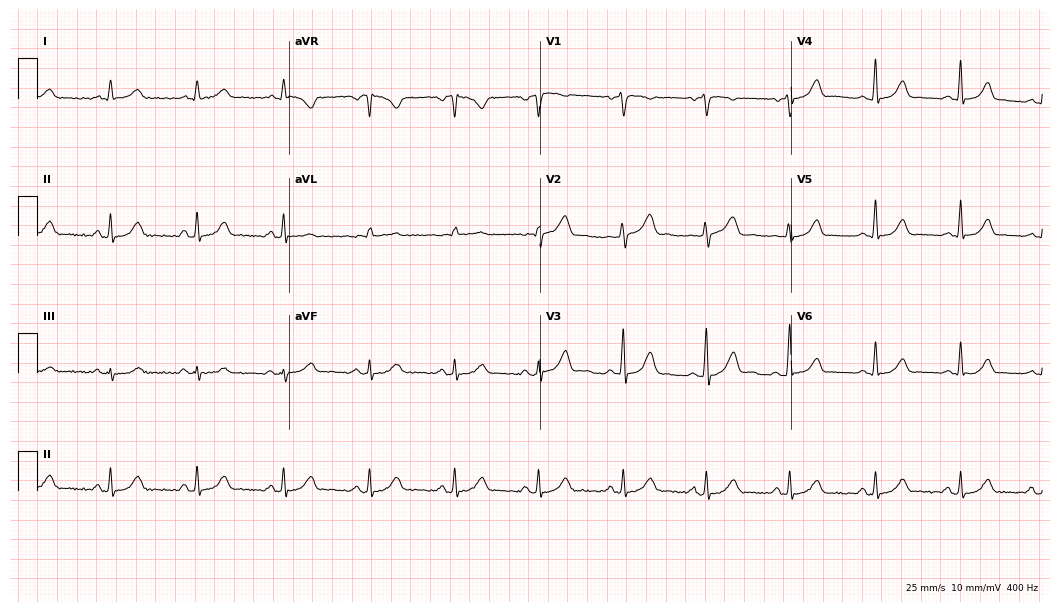
Resting 12-lead electrocardiogram (10.2-second recording at 400 Hz). Patient: a female, 46 years old. Read as a normal ECG.